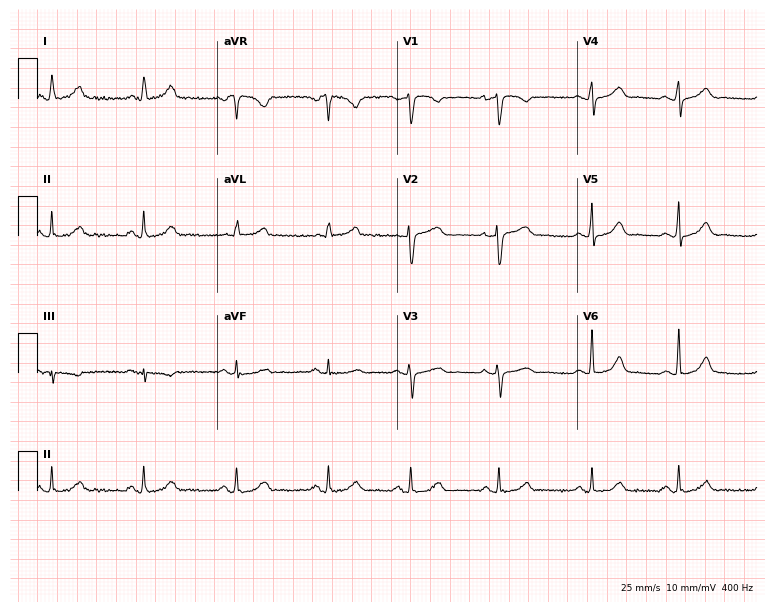
12-lead ECG from a female, 38 years old (7.3-second recording at 400 Hz). Recorded interpretation: within normal limits.